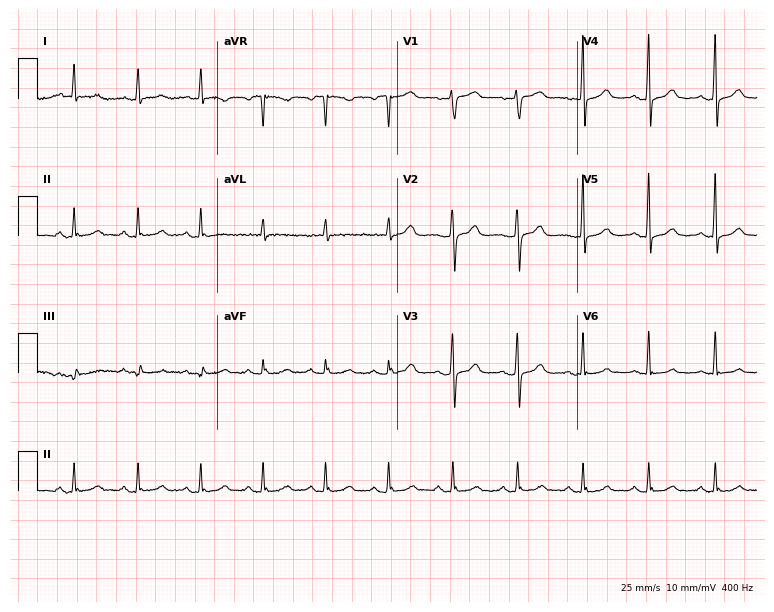
Electrocardiogram, a woman, 61 years old. Of the six screened findings (first-degree AV block, right bundle branch block, left bundle branch block, sinus bradycardia, atrial fibrillation, sinus tachycardia), none is recorded.